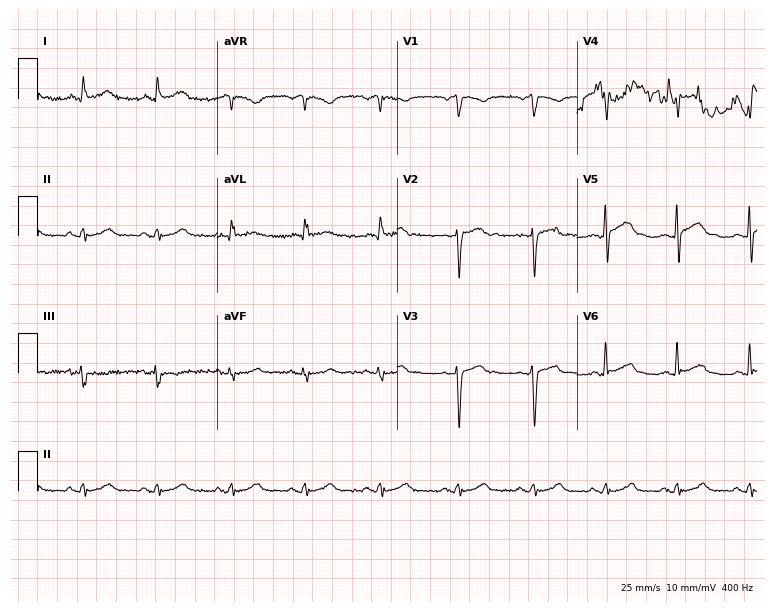
Standard 12-lead ECG recorded from a 70-year-old male (7.3-second recording at 400 Hz). Read as a normal ECG.